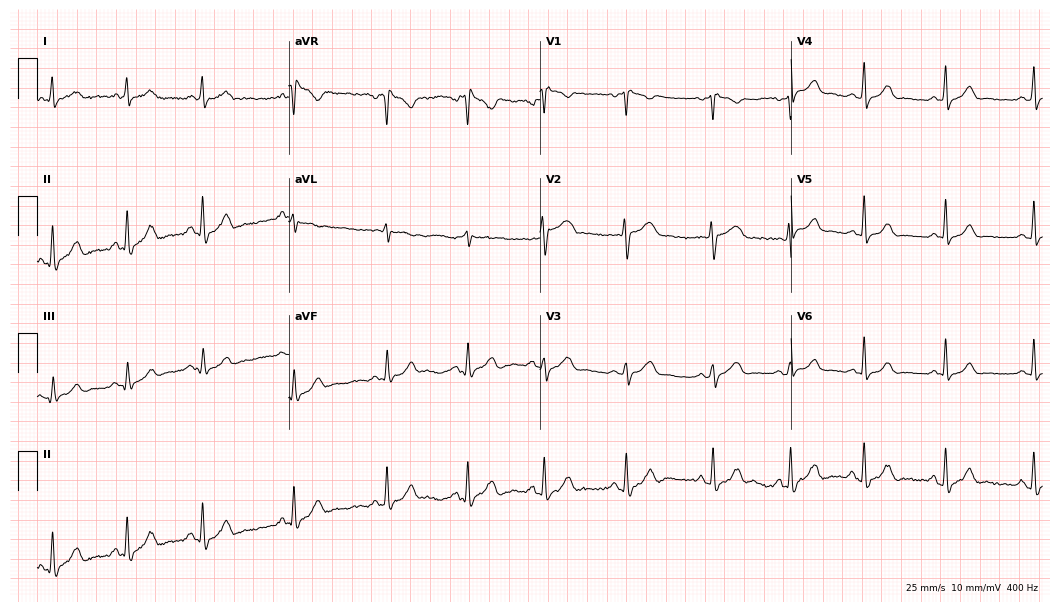
Standard 12-lead ECG recorded from a 25-year-old female patient (10.2-second recording at 400 Hz). None of these six findings is recorded: first-degree AV block, right bundle branch block, left bundle branch block, sinus bradycardia, atrial fibrillation, sinus tachycardia.